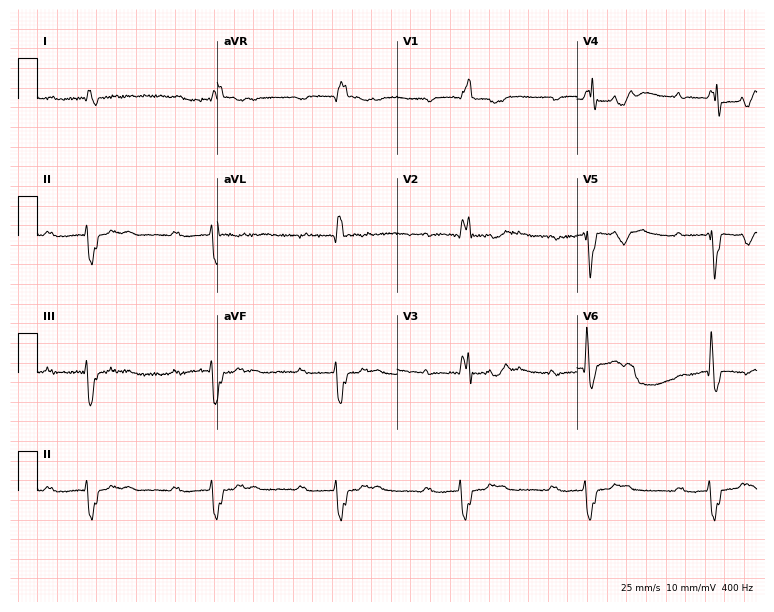
Electrocardiogram (7.3-second recording at 400 Hz), a 76-year-old female patient. Interpretation includes first-degree AV block, right bundle branch block.